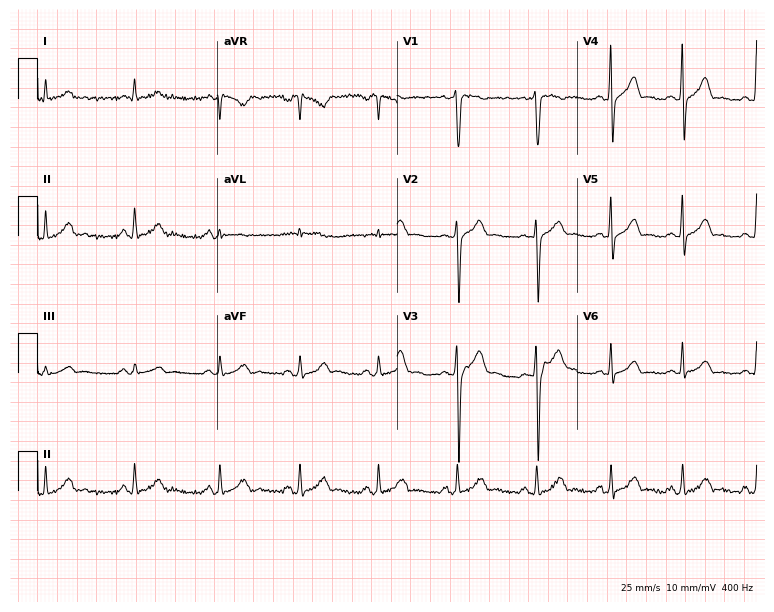
Standard 12-lead ECG recorded from a 22-year-old male. Read as a normal ECG.